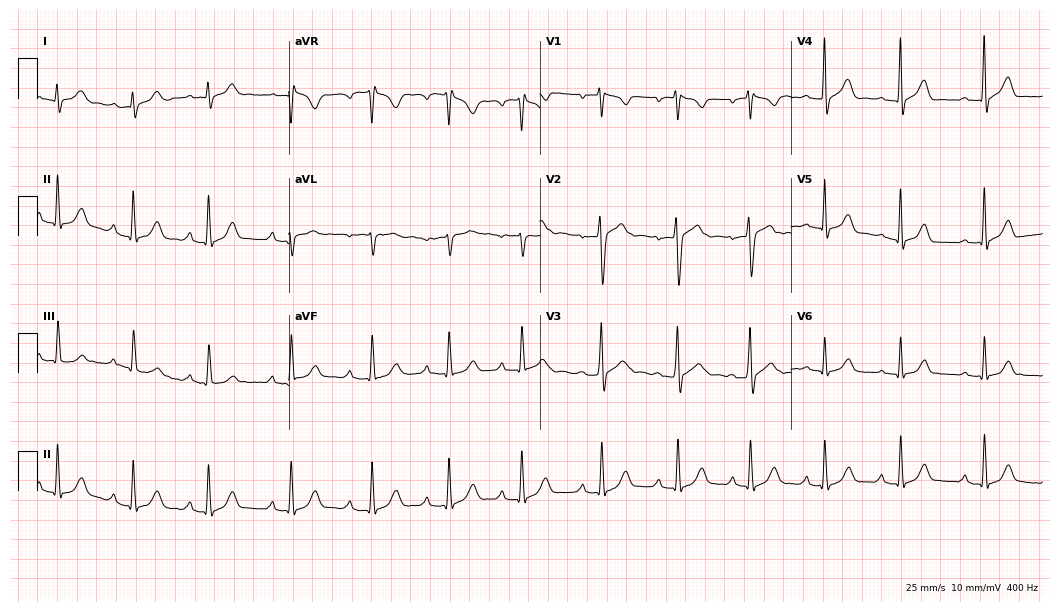
Electrocardiogram, a 28-year-old male. Overall reading on record: normal ECG.